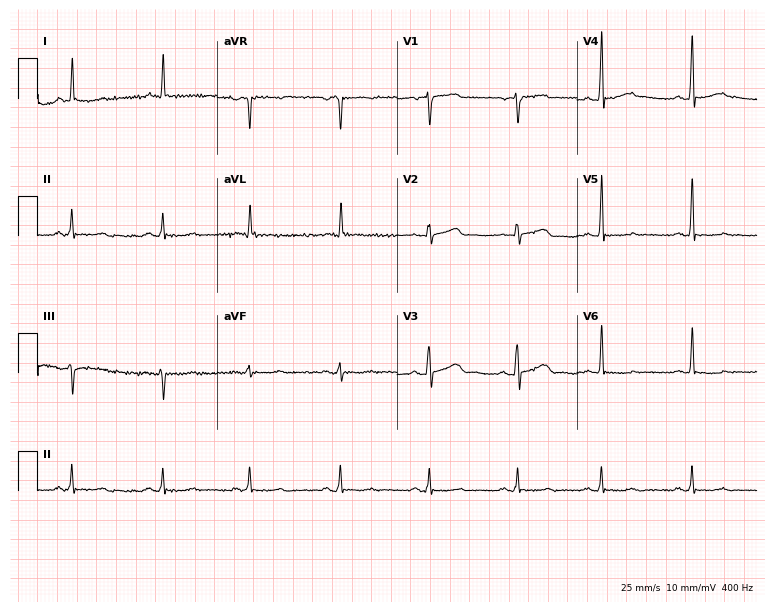
Standard 12-lead ECG recorded from a 78-year-old female patient (7.3-second recording at 400 Hz). Read as a normal ECG.